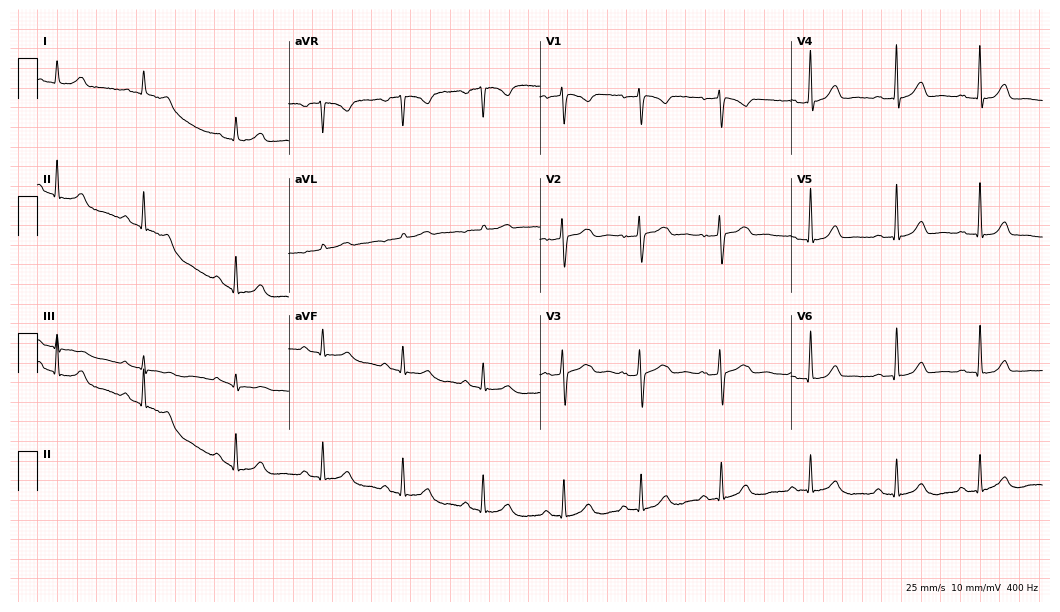
Resting 12-lead electrocardiogram (10.2-second recording at 400 Hz). Patient: a woman, 36 years old. Read as a normal ECG.